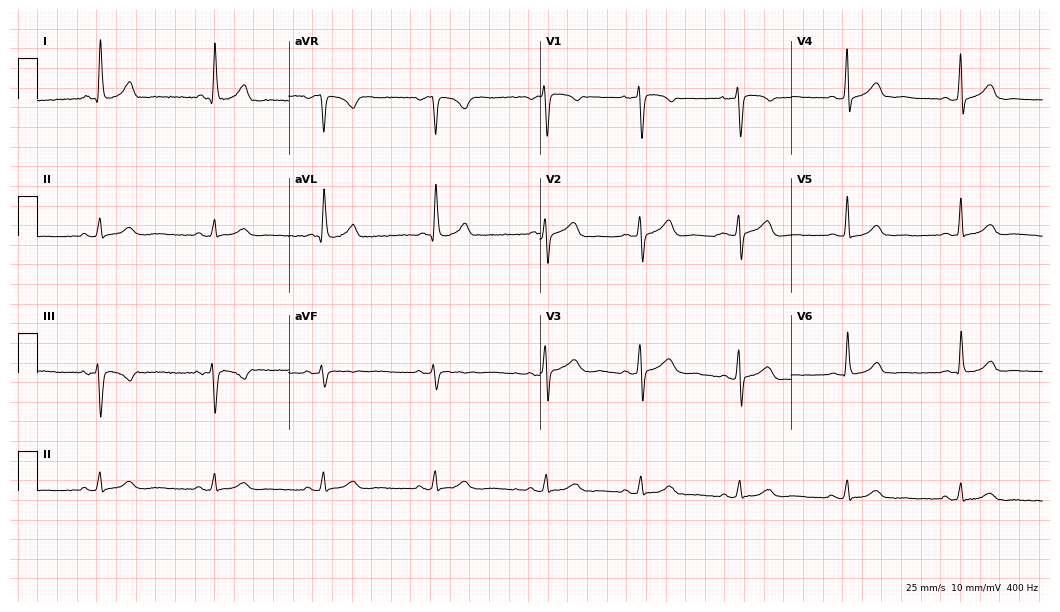
Electrocardiogram (10.2-second recording at 400 Hz), a female, 67 years old. Overall reading on record: normal ECG.